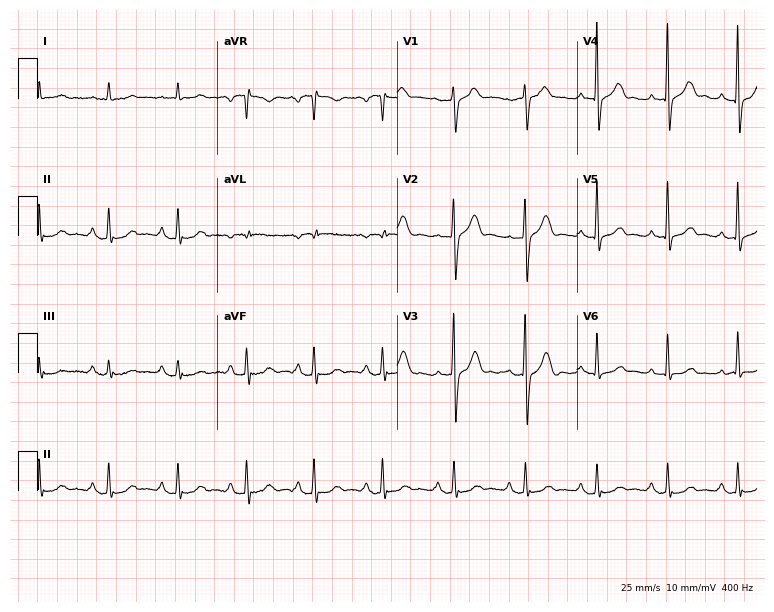
ECG — a man, 76 years old. Screened for six findings — first-degree AV block, right bundle branch block (RBBB), left bundle branch block (LBBB), sinus bradycardia, atrial fibrillation (AF), sinus tachycardia — none is recorded.